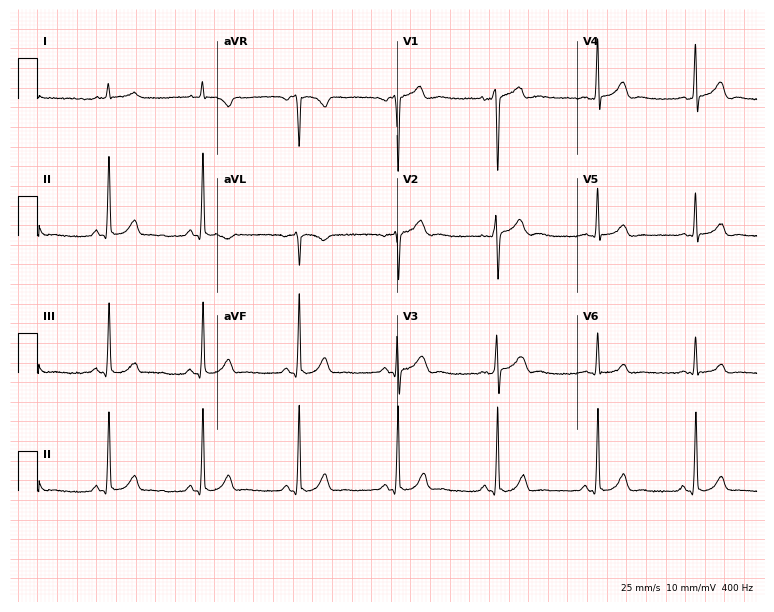
Electrocardiogram (7.3-second recording at 400 Hz), a man, 28 years old. Of the six screened findings (first-degree AV block, right bundle branch block, left bundle branch block, sinus bradycardia, atrial fibrillation, sinus tachycardia), none is recorded.